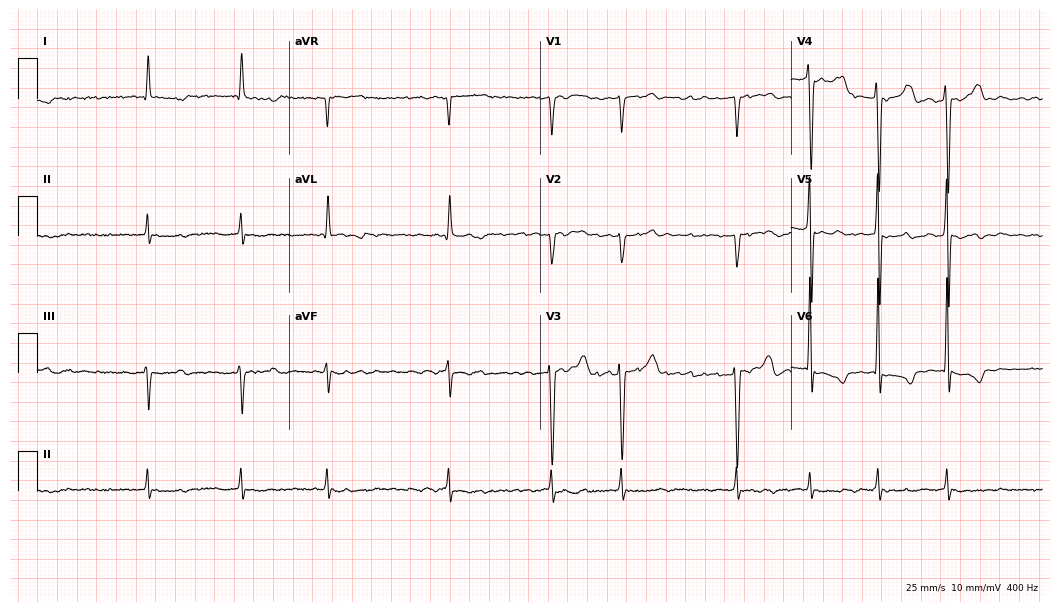
ECG (10.2-second recording at 400 Hz) — a man, 74 years old. Findings include atrial fibrillation (AF).